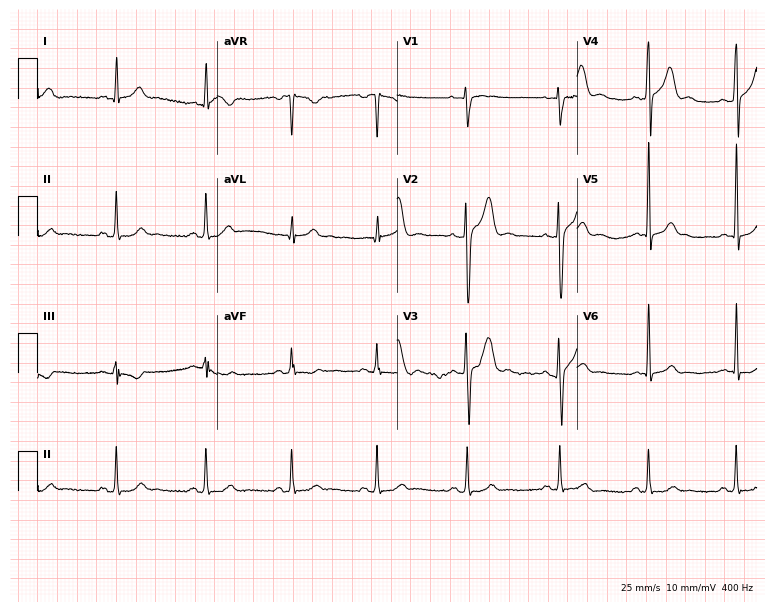
Electrocardiogram, a 28-year-old male. Overall reading on record: normal ECG.